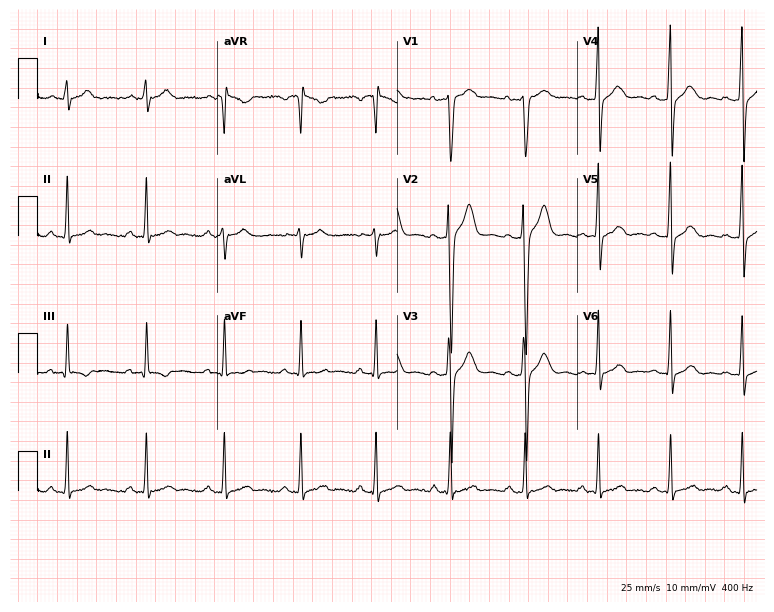
Standard 12-lead ECG recorded from a man, 22 years old. None of these six findings is recorded: first-degree AV block, right bundle branch block, left bundle branch block, sinus bradycardia, atrial fibrillation, sinus tachycardia. Findings outside these six are not listed.